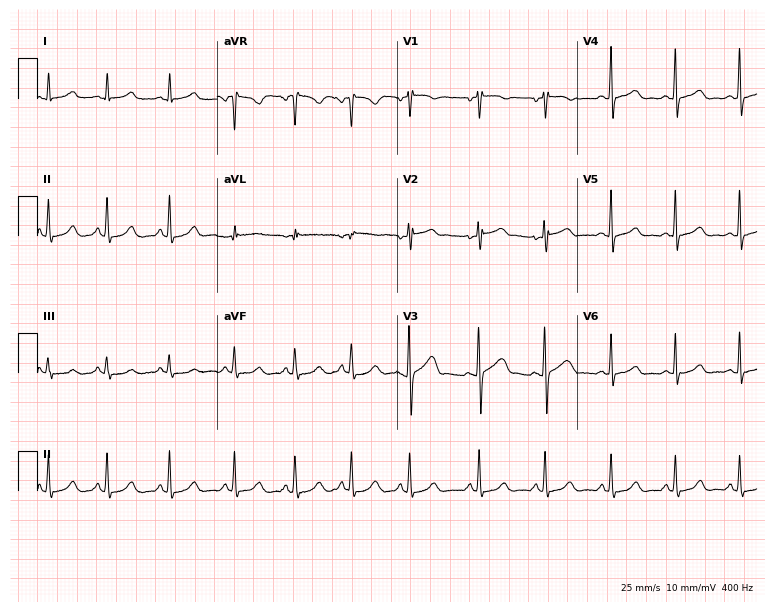
Electrocardiogram, a 19-year-old female patient. Overall reading on record: normal ECG.